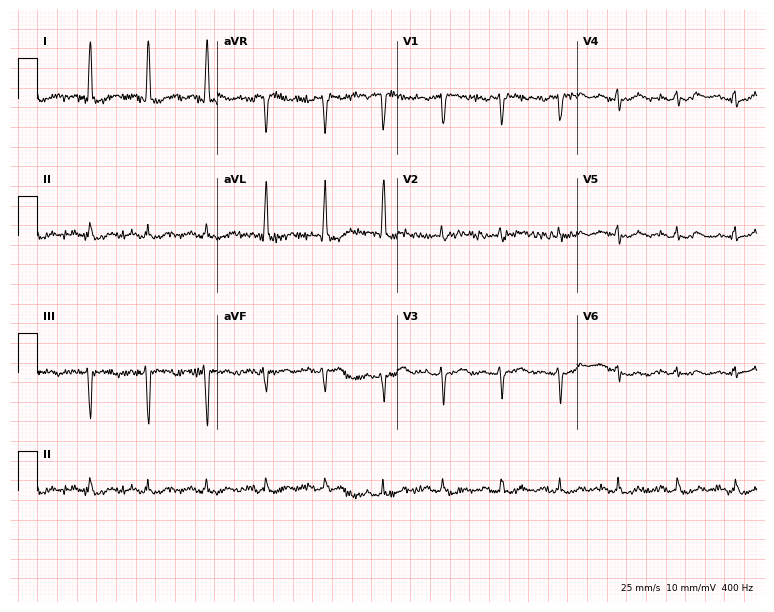
12-lead ECG from a 79-year-old female patient (7.3-second recording at 400 Hz). No first-degree AV block, right bundle branch block (RBBB), left bundle branch block (LBBB), sinus bradycardia, atrial fibrillation (AF) or sinus tachycardia recorded for this tracing.